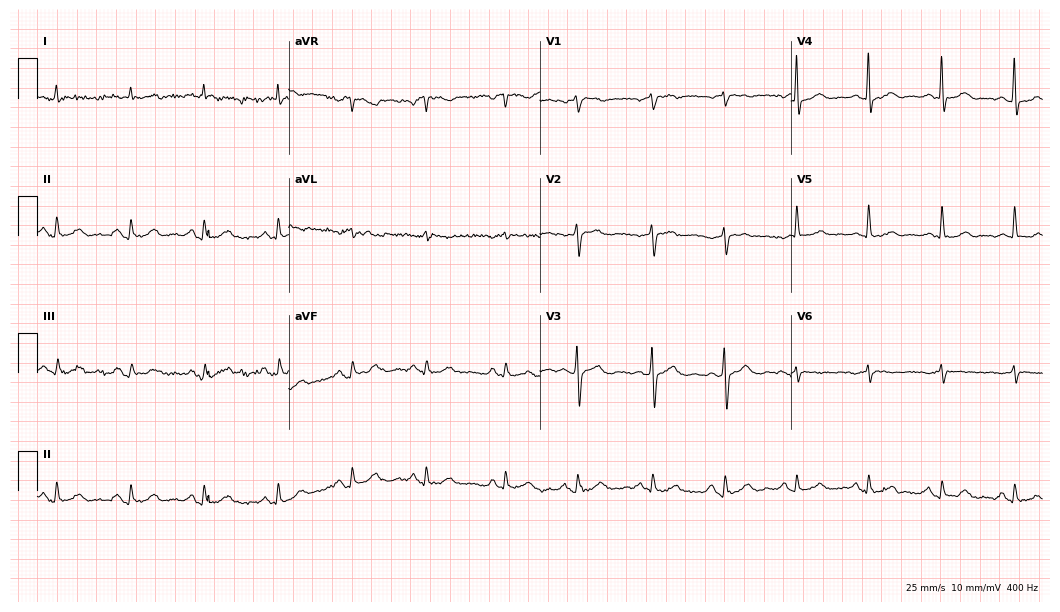
Electrocardiogram (10.2-second recording at 400 Hz), a man, 65 years old. Overall reading on record: normal ECG.